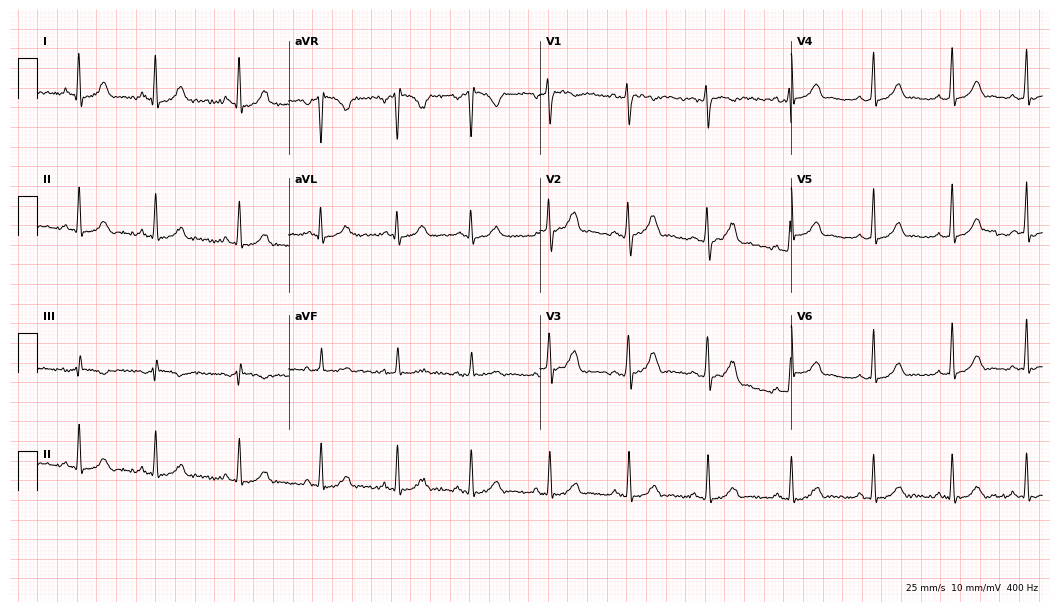
ECG (10.2-second recording at 400 Hz) — a female, 19 years old. Screened for six findings — first-degree AV block, right bundle branch block, left bundle branch block, sinus bradycardia, atrial fibrillation, sinus tachycardia — none is recorded.